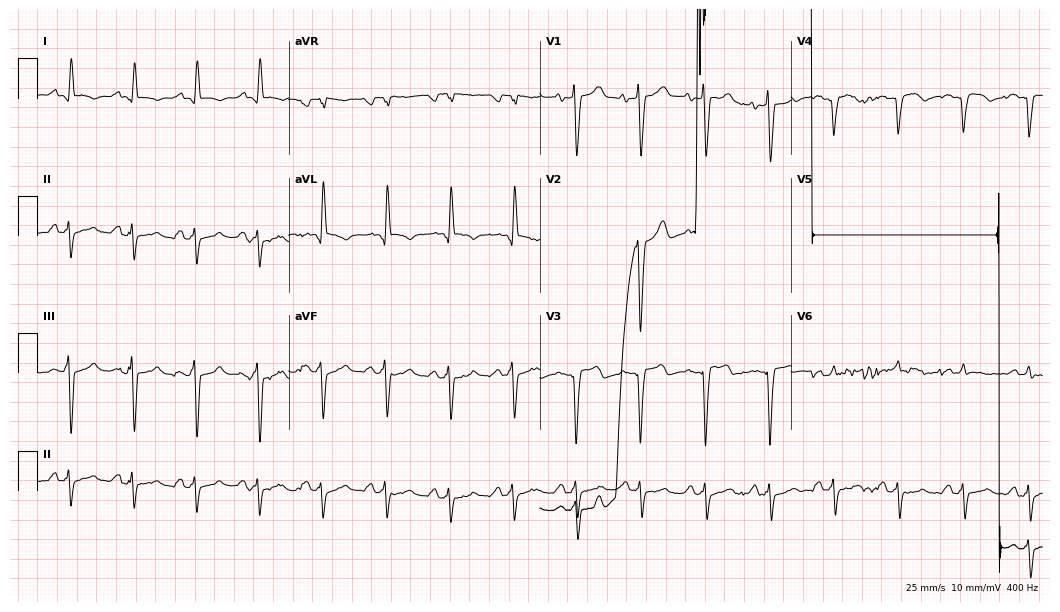
12-lead ECG from a 32-year-old male. No first-degree AV block, right bundle branch block, left bundle branch block, sinus bradycardia, atrial fibrillation or sinus tachycardia recorded for this tracing. Other findings, if any, are not listed.